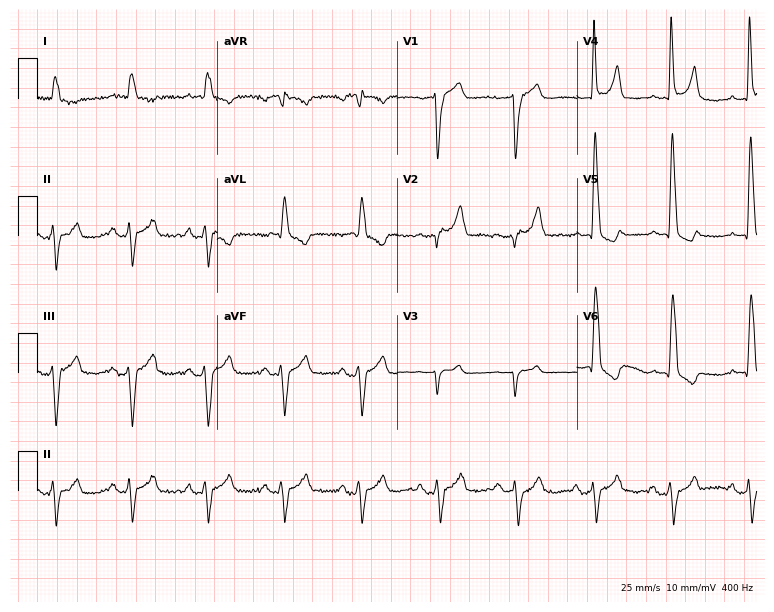
Resting 12-lead electrocardiogram (7.3-second recording at 400 Hz). Patient: a male, 86 years old. None of these six findings is recorded: first-degree AV block, right bundle branch block, left bundle branch block, sinus bradycardia, atrial fibrillation, sinus tachycardia.